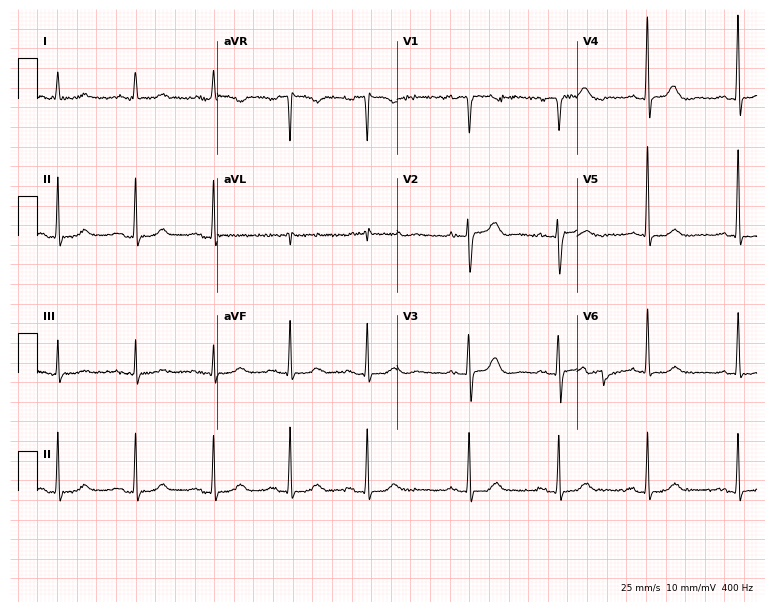
12-lead ECG (7.3-second recording at 400 Hz) from an 83-year-old female patient. Screened for six findings — first-degree AV block, right bundle branch block (RBBB), left bundle branch block (LBBB), sinus bradycardia, atrial fibrillation (AF), sinus tachycardia — none is recorded. Findings outside these six are not listed.